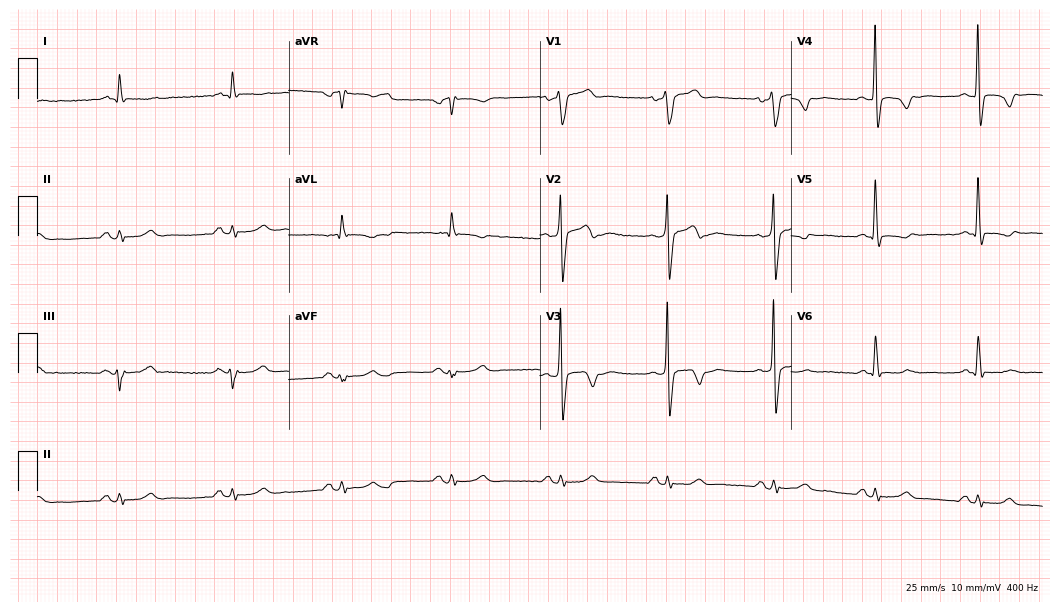
ECG — a 66-year-old male. Screened for six findings — first-degree AV block, right bundle branch block, left bundle branch block, sinus bradycardia, atrial fibrillation, sinus tachycardia — none is recorded. Only these six findings were labelled.